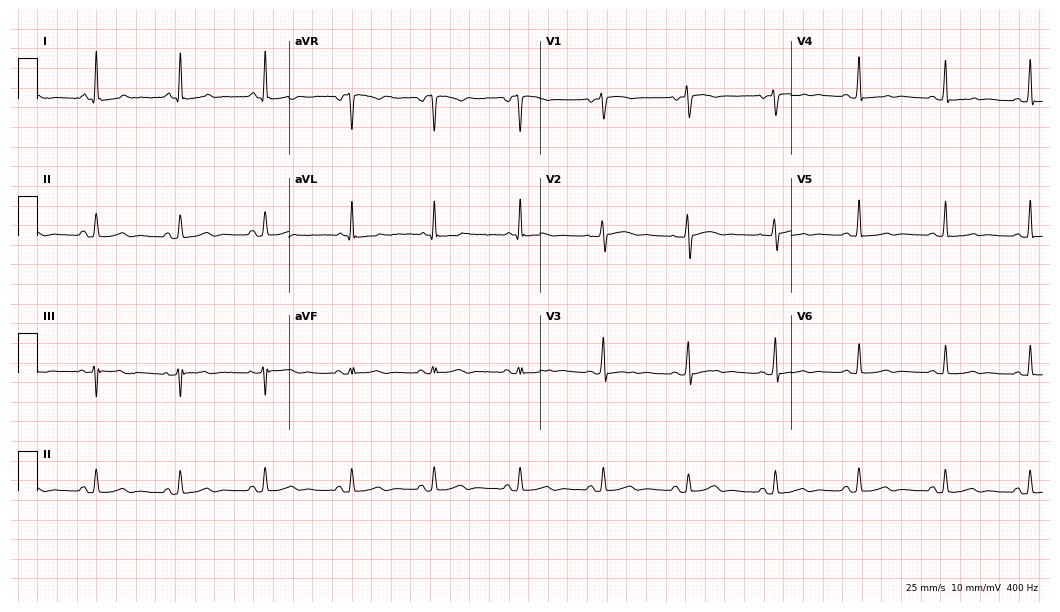
Electrocardiogram, a female, 34 years old. Overall reading on record: normal ECG.